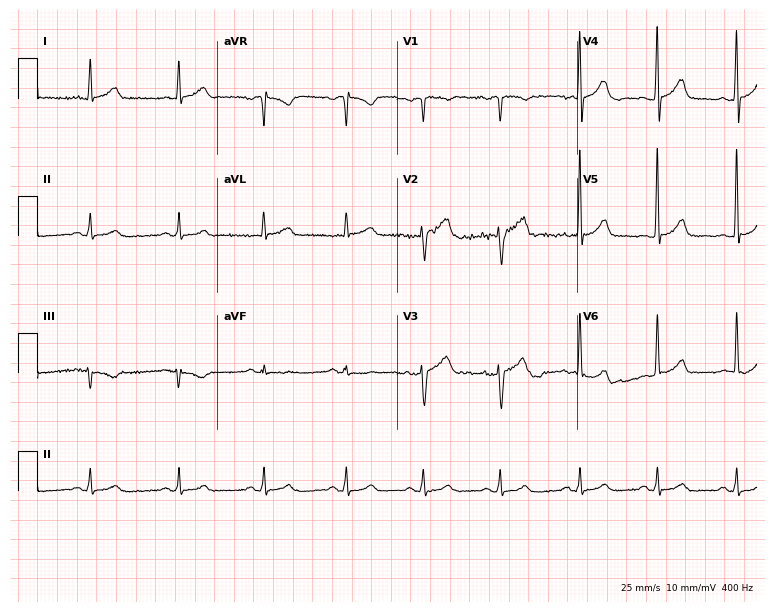
Electrocardiogram, a 60-year-old man. Overall reading on record: normal ECG.